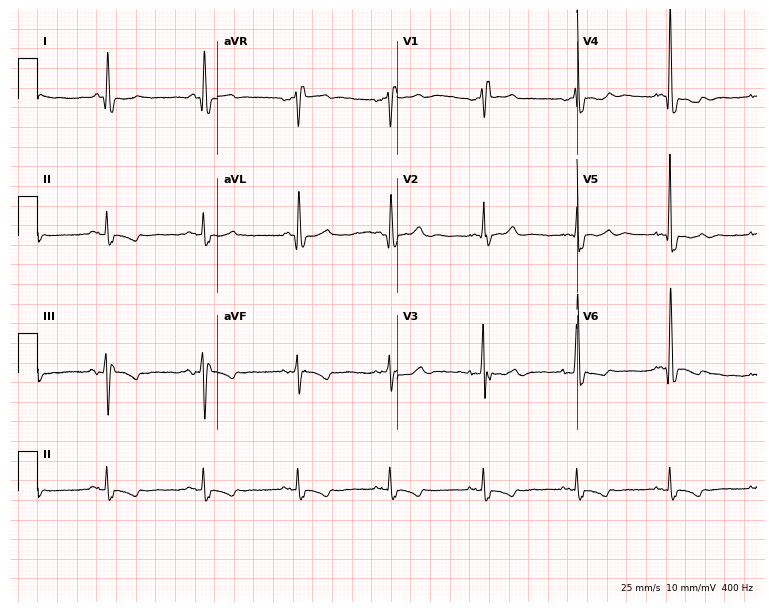
ECG — a female, 75 years old. Findings include right bundle branch block (RBBB).